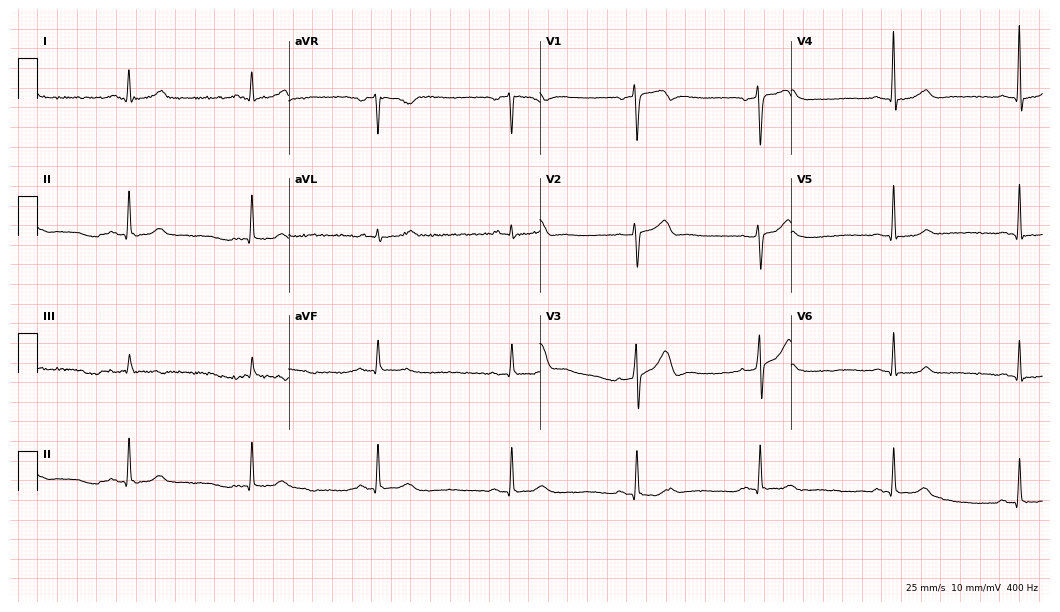
Electrocardiogram (10.2-second recording at 400 Hz), a male, 50 years old. Interpretation includes sinus bradycardia (a sinus rate of 50 beats per minute or less).